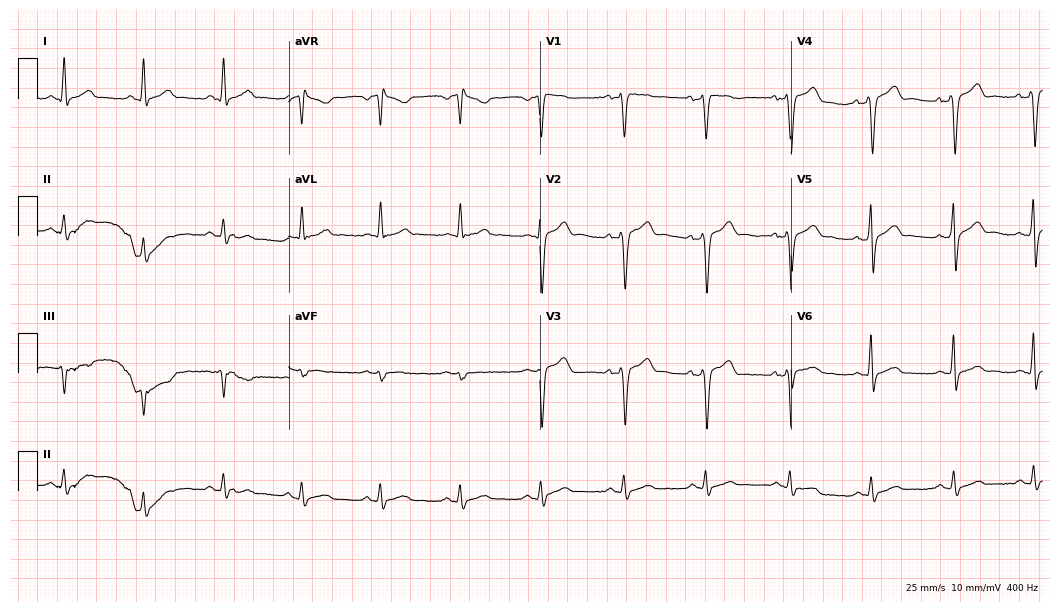
ECG — a 41-year-old male. Screened for six findings — first-degree AV block, right bundle branch block, left bundle branch block, sinus bradycardia, atrial fibrillation, sinus tachycardia — none is recorded. Only these six findings were labelled.